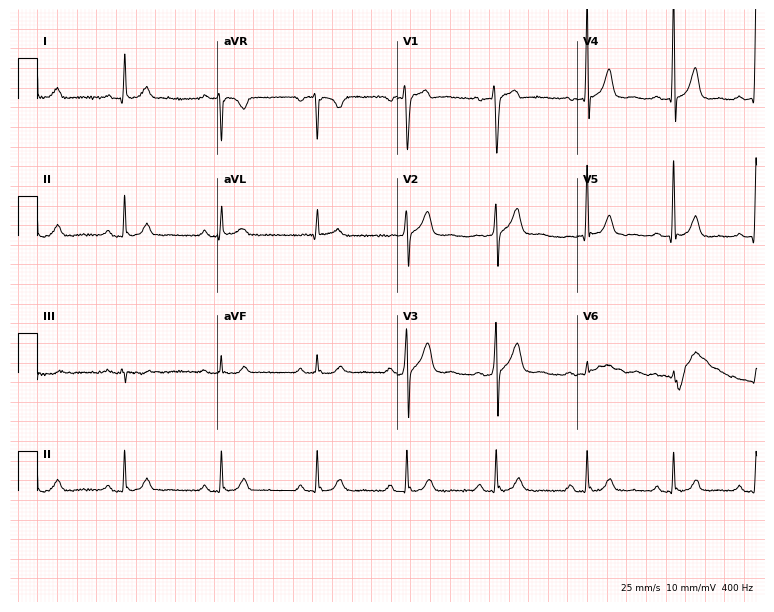
Standard 12-lead ECG recorded from a male, 60 years old (7.3-second recording at 400 Hz). Read as a normal ECG.